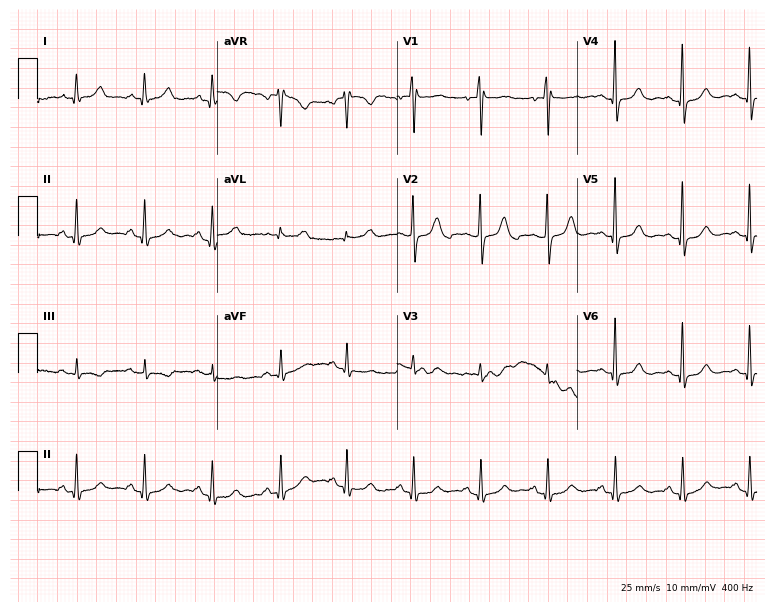
Resting 12-lead electrocardiogram. Patient: a woman, 62 years old. Read as a normal ECG.